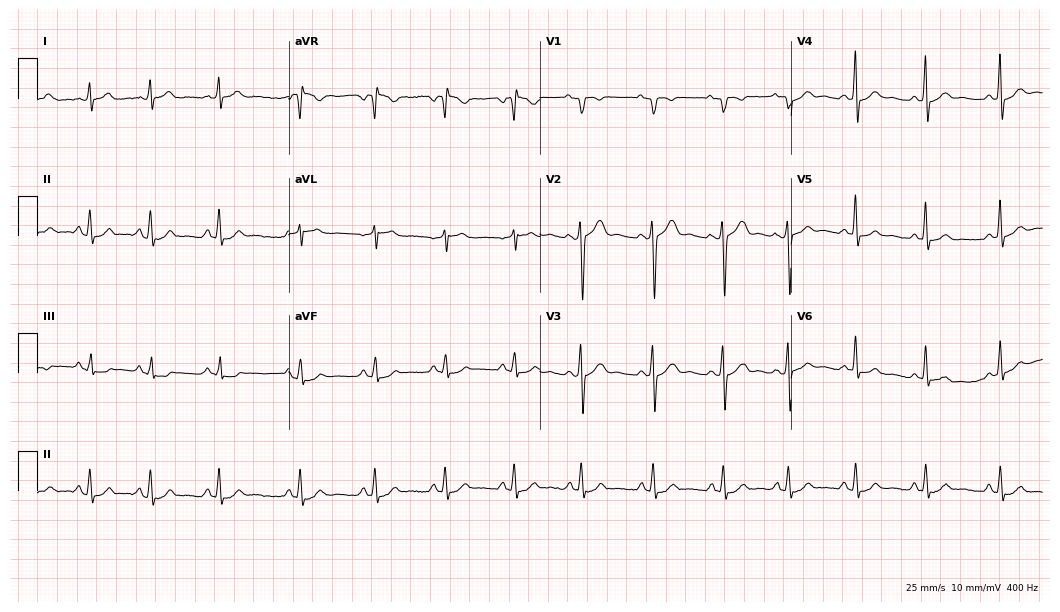
Electrocardiogram (10.2-second recording at 400 Hz), a 32-year-old male patient. Of the six screened findings (first-degree AV block, right bundle branch block (RBBB), left bundle branch block (LBBB), sinus bradycardia, atrial fibrillation (AF), sinus tachycardia), none is recorded. Other findings, if any, are not listed.